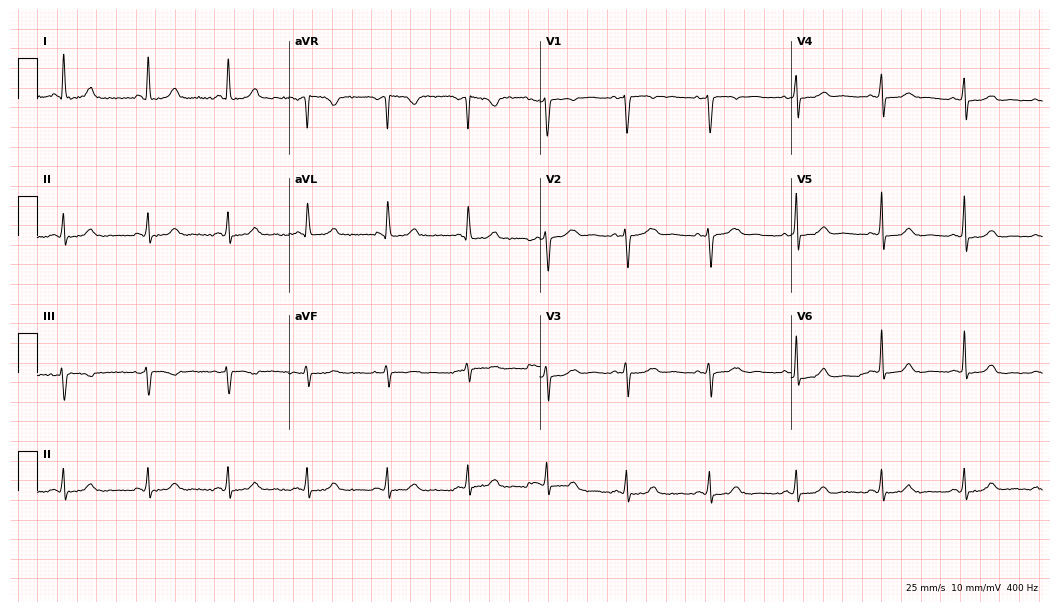
ECG — a 42-year-old female patient. Labelled as a normal ECG.